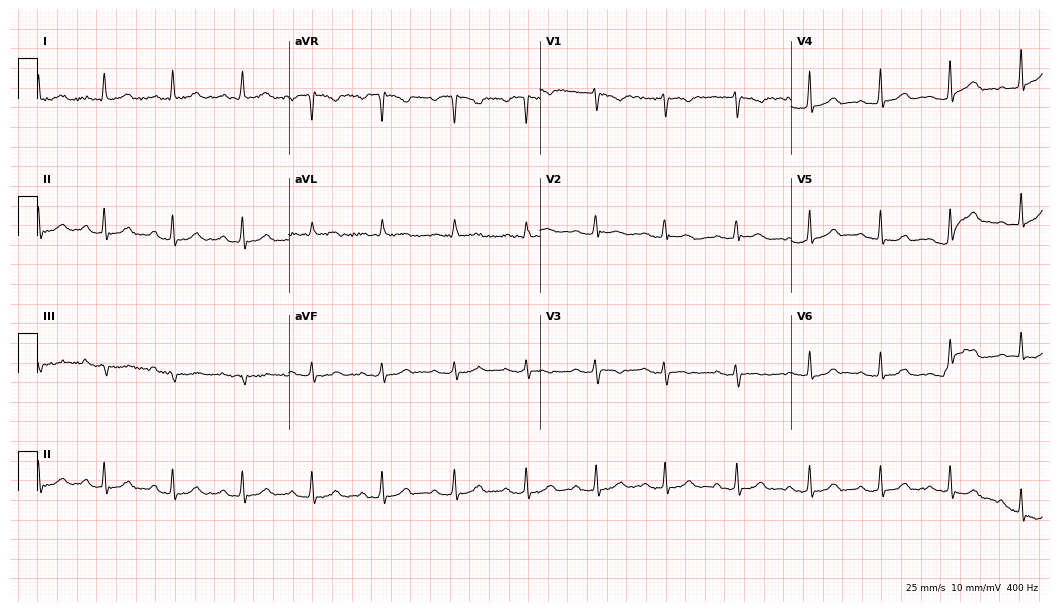
Electrocardiogram (10.2-second recording at 400 Hz), a woman, 38 years old. Overall reading on record: normal ECG.